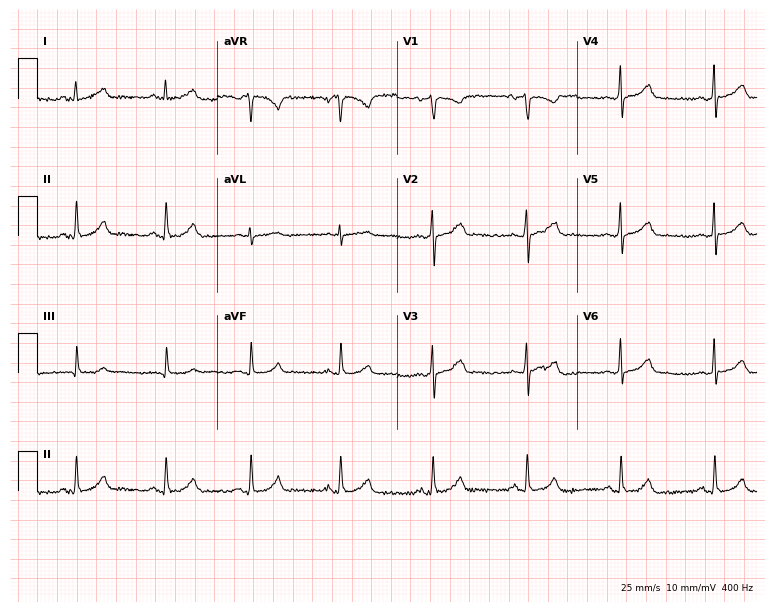
12-lead ECG from a female patient, 46 years old. Recorded interpretation: within normal limits.